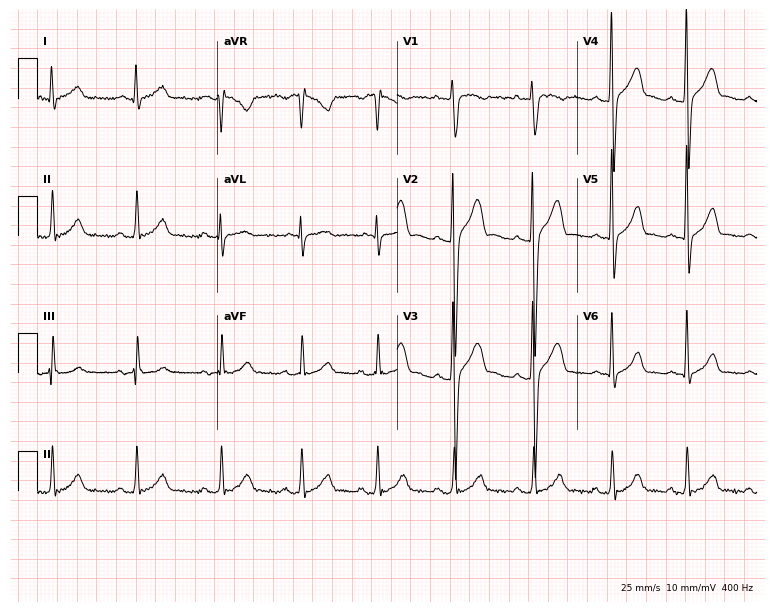
Resting 12-lead electrocardiogram. Patient: a 25-year-old male. Read as a normal ECG.